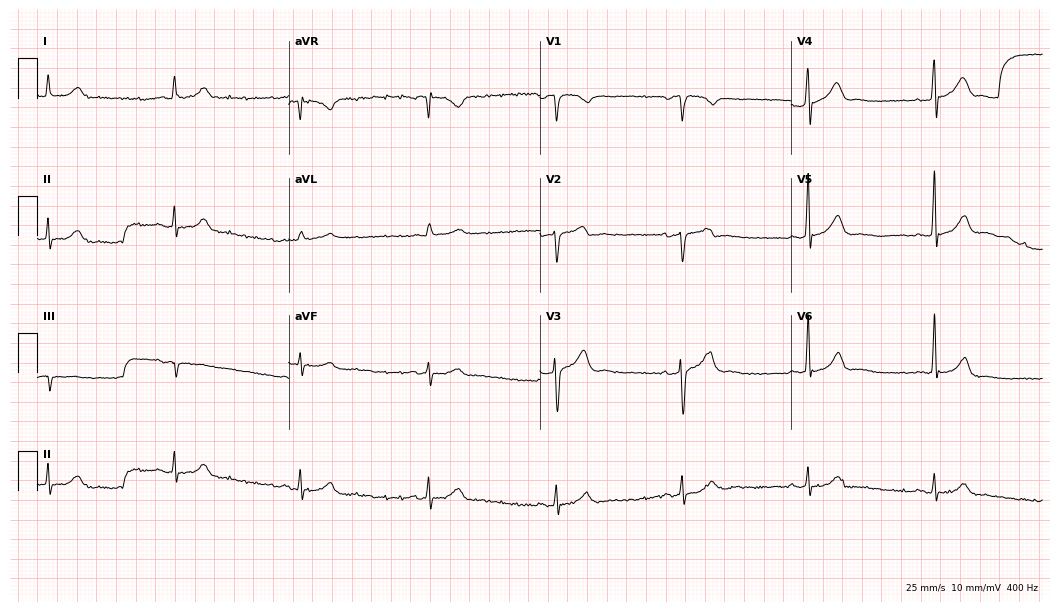
Resting 12-lead electrocardiogram. Patient: a 69-year-old male. None of these six findings is recorded: first-degree AV block, right bundle branch block, left bundle branch block, sinus bradycardia, atrial fibrillation, sinus tachycardia. Only these six findings were labelled.